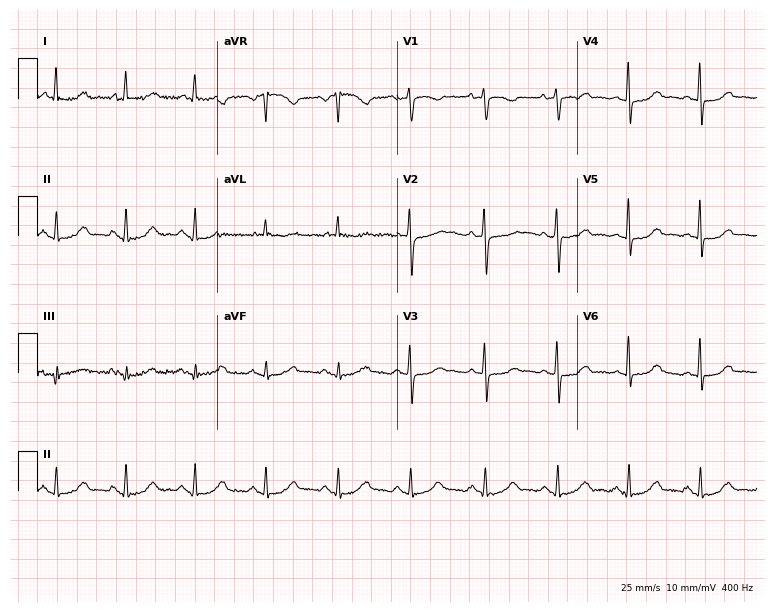
12-lead ECG (7.3-second recording at 400 Hz) from a 67-year-old female. Labelled as a normal ECG.